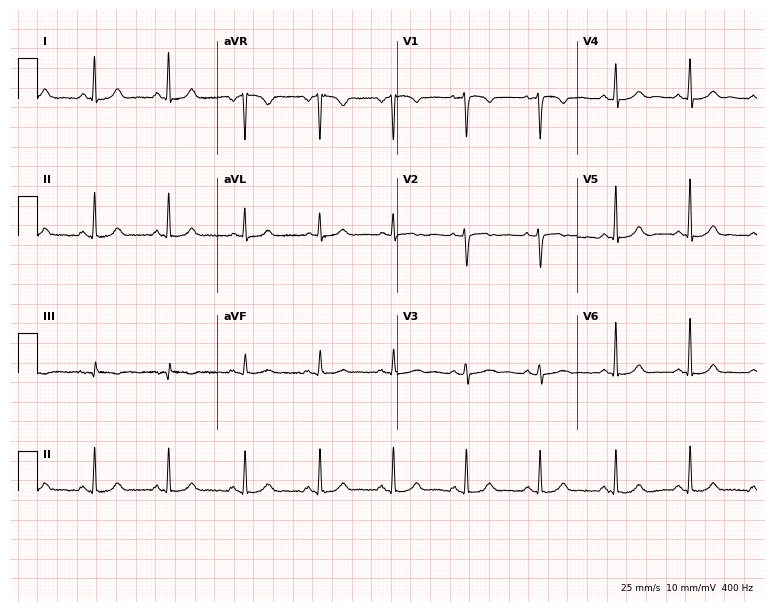
Resting 12-lead electrocardiogram (7.3-second recording at 400 Hz). Patient: a 36-year-old female. Read as a normal ECG.